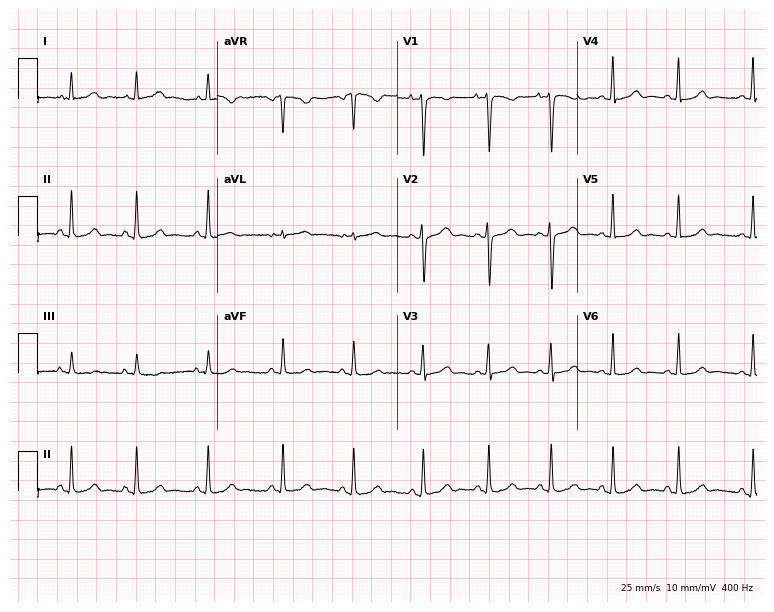
ECG (7.3-second recording at 400 Hz) — a 25-year-old female. Labelled as a normal ECG.